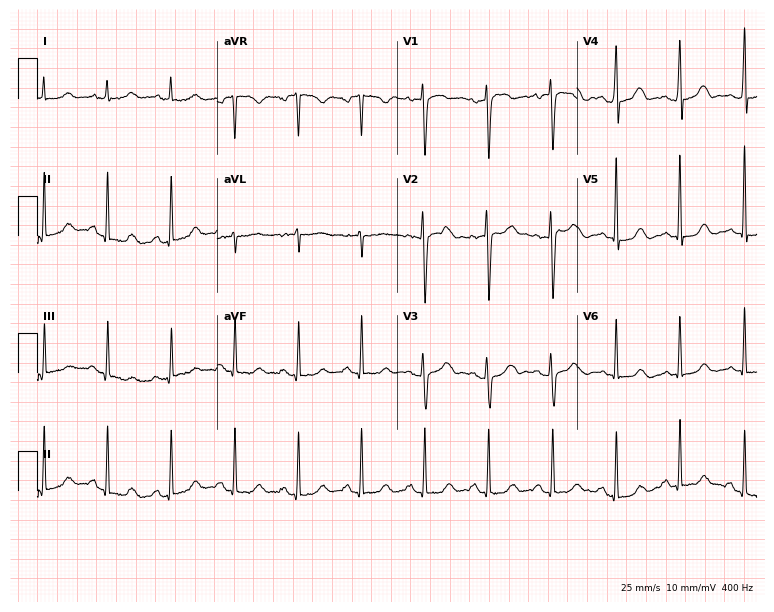
Resting 12-lead electrocardiogram (7.3-second recording at 400 Hz). Patient: a 54-year-old woman. None of these six findings is recorded: first-degree AV block, right bundle branch block, left bundle branch block, sinus bradycardia, atrial fibrillation, sinus tachycardia.